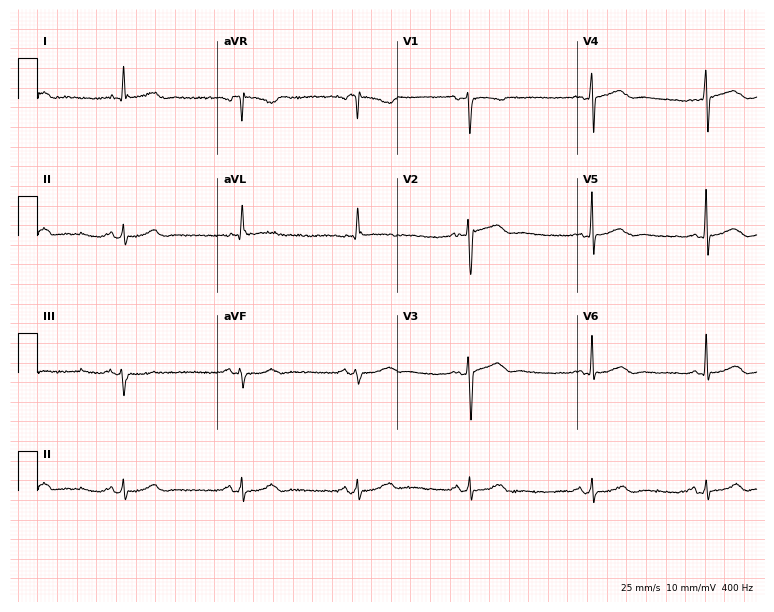
12-lead ECG (7.3-second recording at 400 Hz) from a 48-year-old male patient. Labelled as a normal ECG.